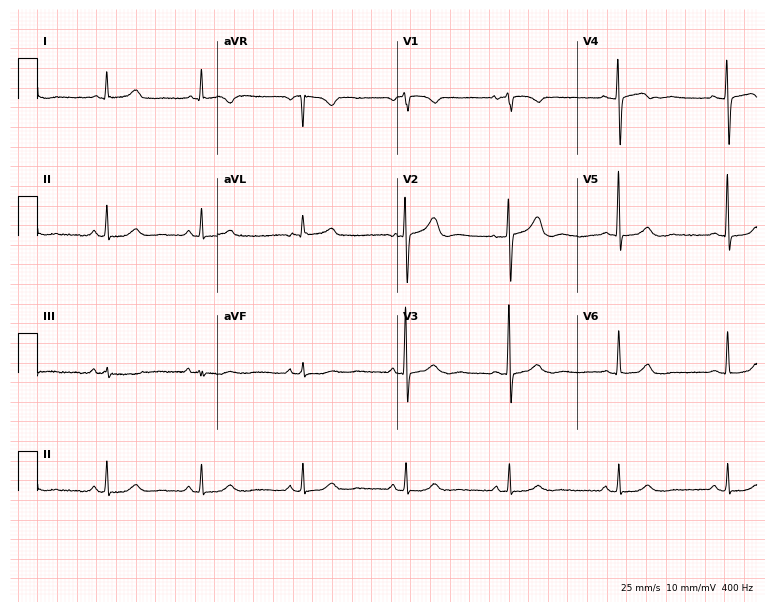
12-lead ECG from a woman, 63 years old (7.3-second recording at 400 Hz). Recorded interpretation: within normal limits.